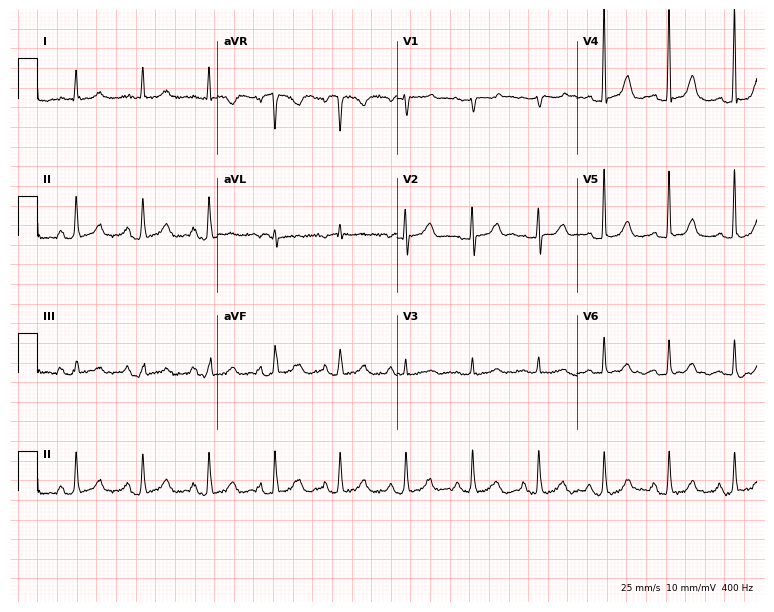
ECG — a 63-year-old female patient. Screened for six findings — first-degree AV block, right bundle branch block (RBBB), left bundle branch block (LBBB), sinus bradycardia, atrial fibrillation (AF), sinus tachycardia — none is recorded. Only these six findings were labelled.